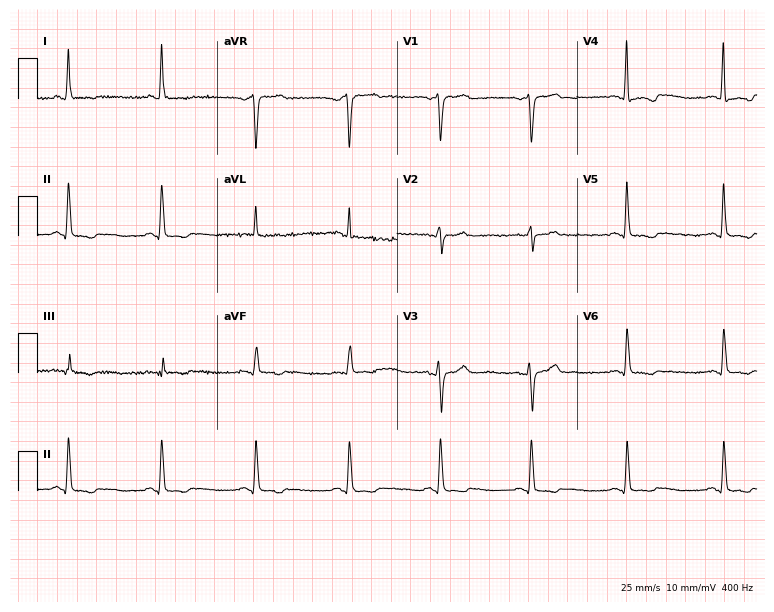
12-lead ECG from a 64-year-old woman. Screened for six findings — first-degree AV block, right bundle branch block, left bundle branch block, sinus bradycardia, atrial fibrillation, sinus tachycardia — none is recorded.